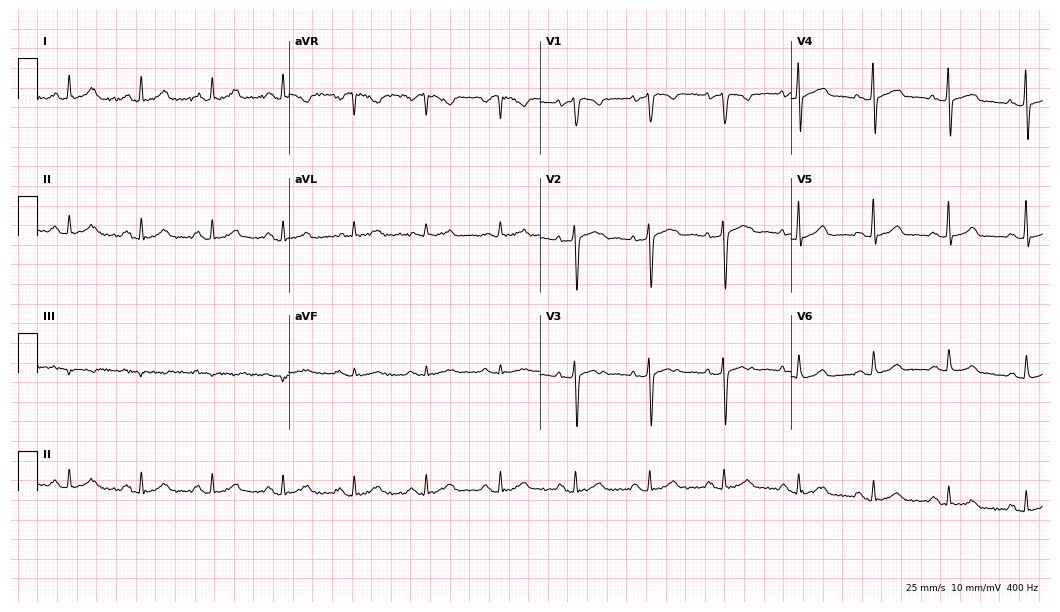
12-lead ECG from a male patient, 30 years old (10.2-second recording at 400 Hz). Recorded interpretation: within normal limits.